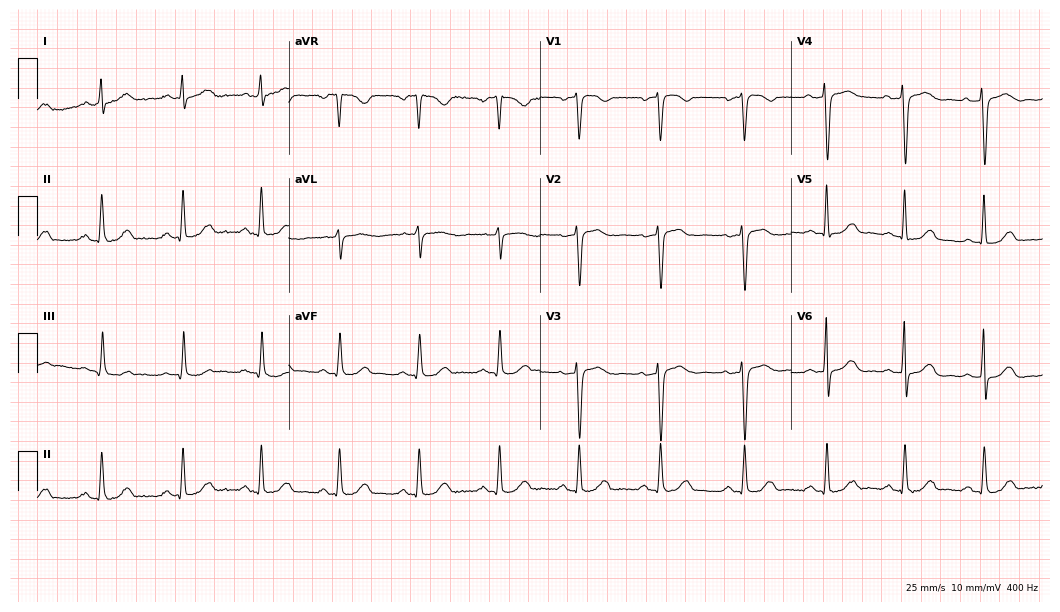
ECG (10.2-second recording at 400 Hz) — a 46-year-old woman. Labelled as a normal ECG.